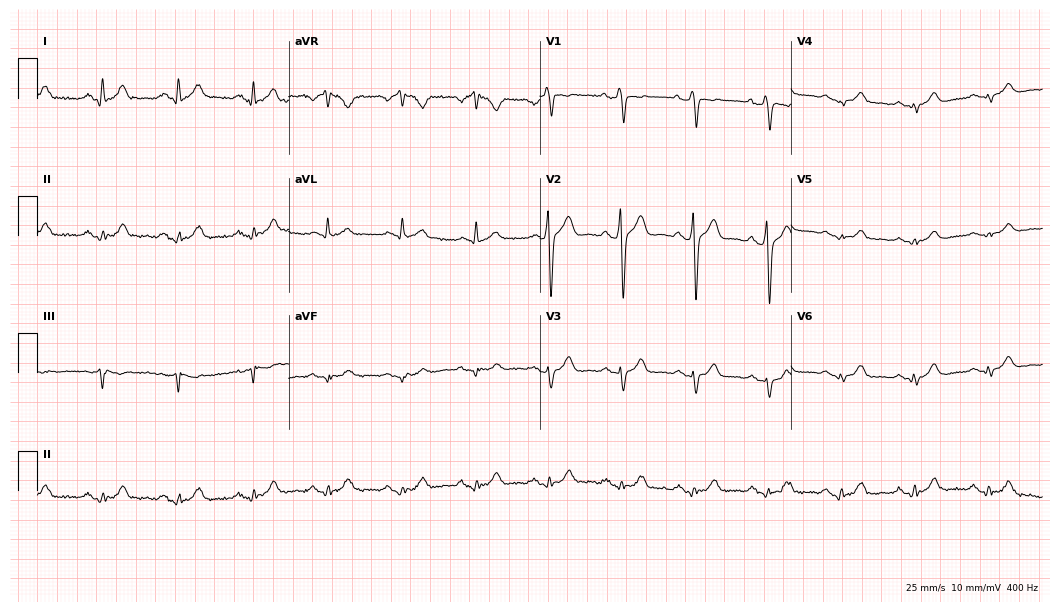
12-lead ECG from a 43-year-old man. No first-degree AV block, right bundle branch block, left bundle branch block, sinus bradycardia, atrial fibrillation or sinus tachycardia recorded for this tracing. Other findings, if any, are not listed.